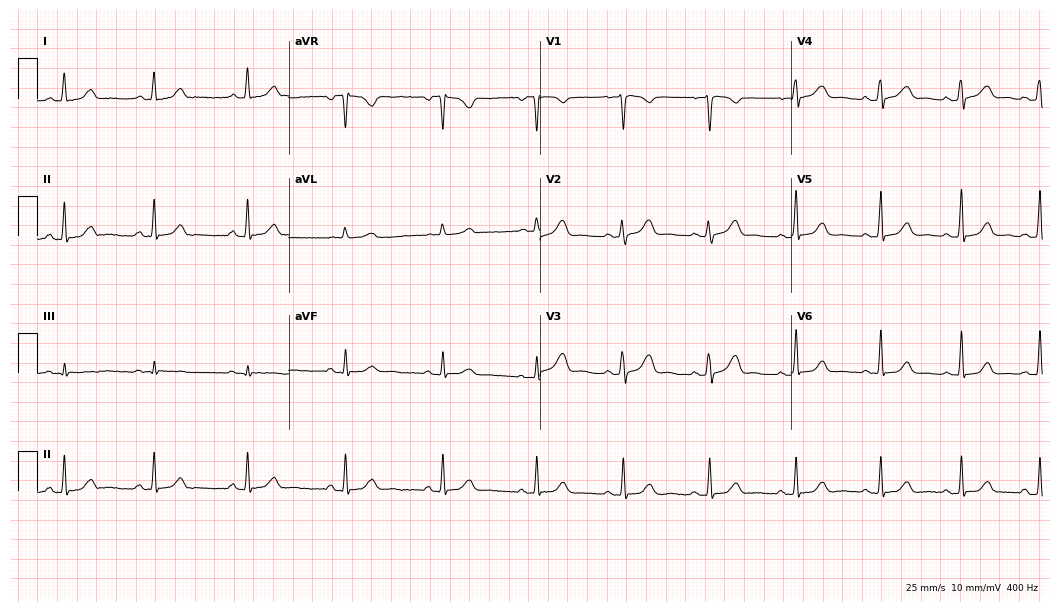
Standard 12-lead ECG recorded from a woman, 40 years old (10.2-second recording at 400 Hz). Read as a normal ECG.